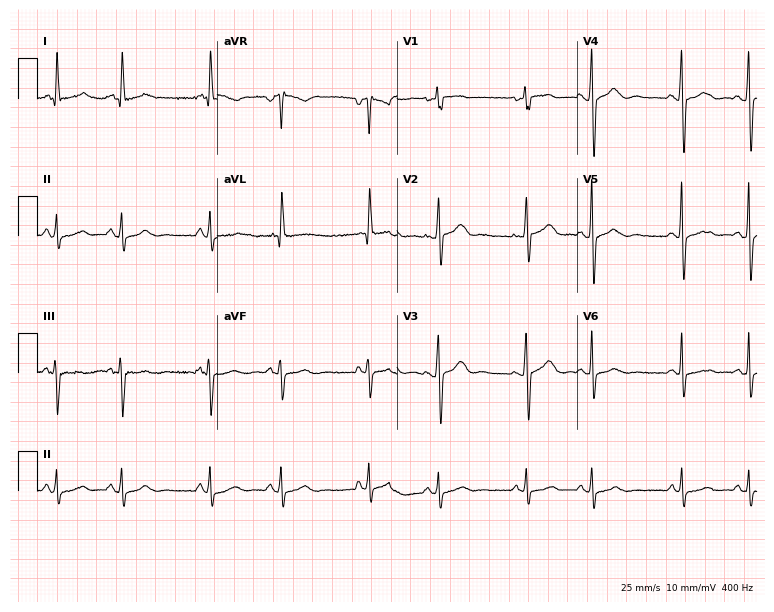
Resting 12-lead electrocardiogram. Patient: a female, 75 years old. None of these six findings is recorded: first-degree AV block, right bundle branch block, left bundle branch block, sinus bradycardia, atrial fibrillation, sinus tachycardia. Other findings, if any, are not listed.